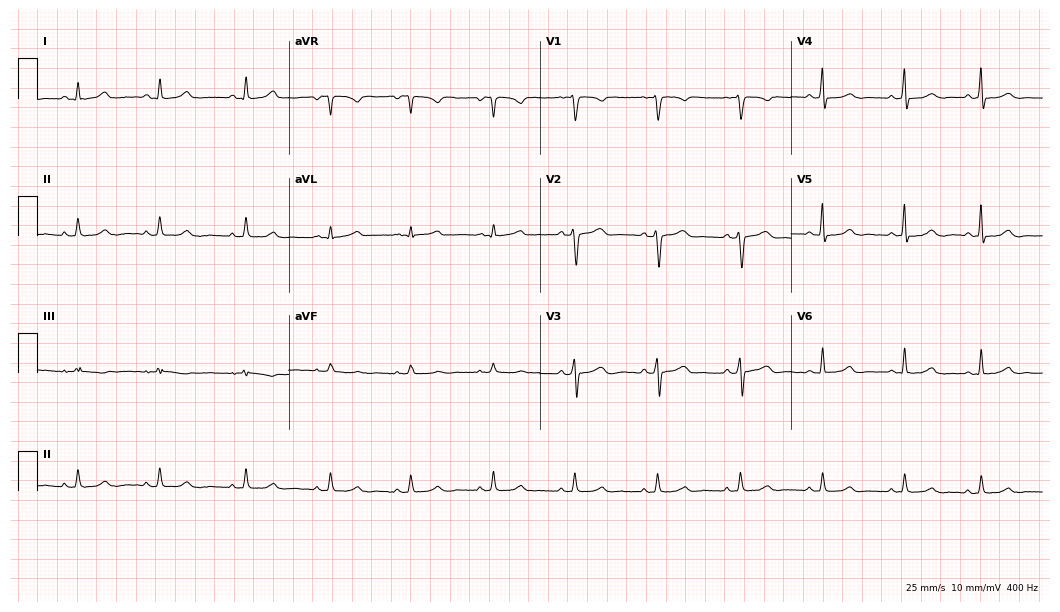
12-lead ECG from a 36-year-old female patient. No first-degree AV block, right bundle branch block, left bundle branch block, sinus bradycardia, atrial fibrillation or sinus tachycardia recorded for this tracing. Findings outside these six are not listed.